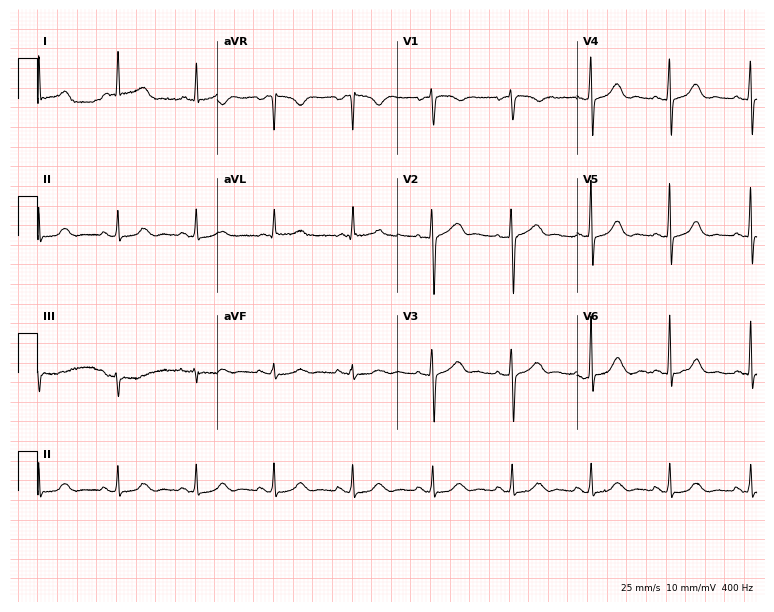
Electrocardiogram (7.3-second recording at 400 Hz), a 76-year-old woman. Overall reading on record: normal ECG.